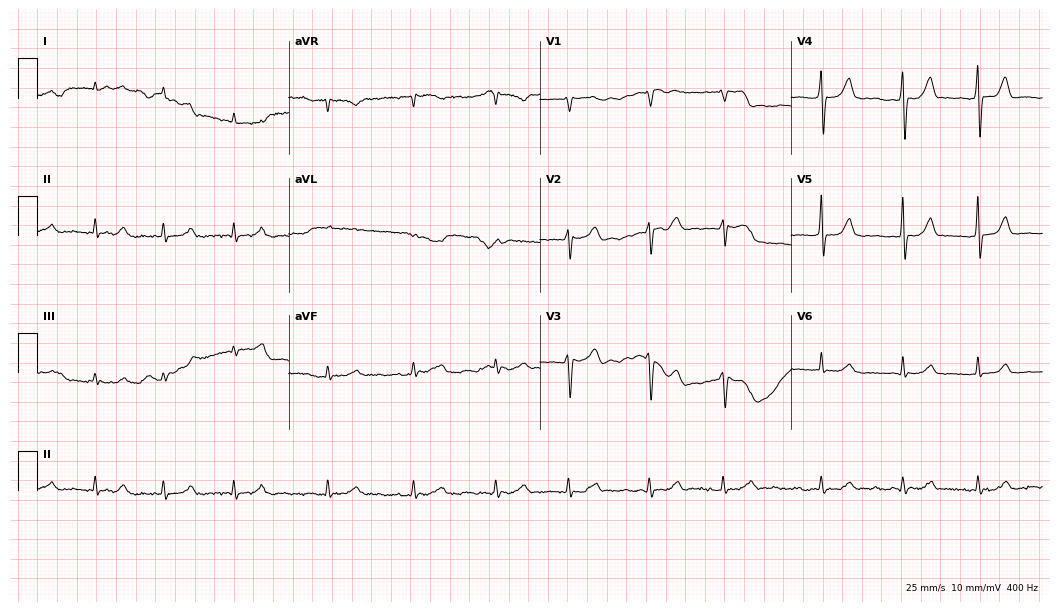
Standard 12-lead ECG recorded from a man, 78 years old. None of these six findings is recorded: first-degree AV block, right bundle branch block, left bundle branch block, sinus bradycardia, atrial fibrillation, sinus tachycardia. Only these six findings were labelled.